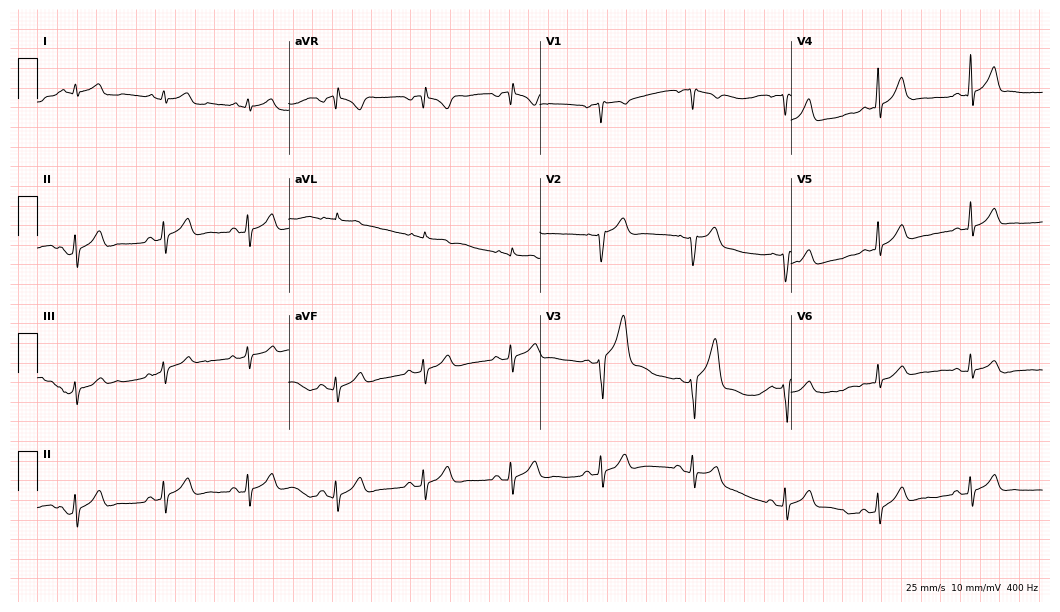
12-lead ECG from a 39-year-old man. Labelled as a normal ECG.